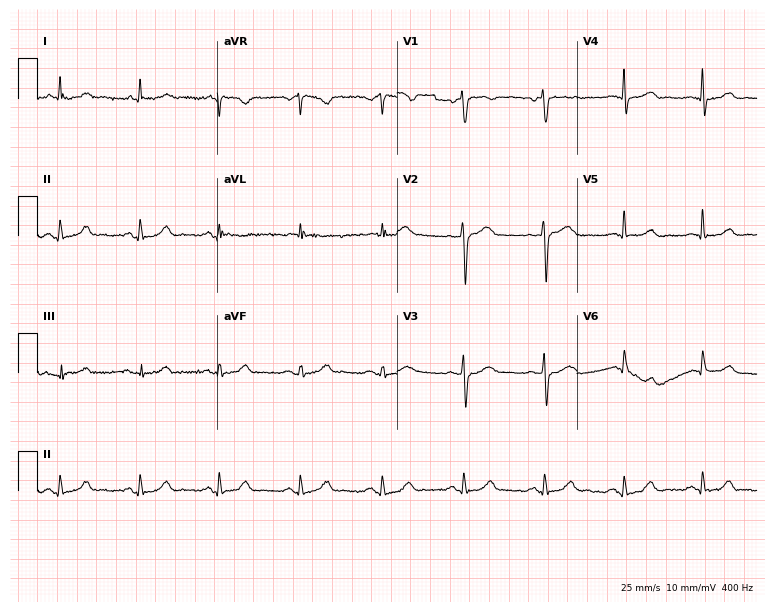
12-lead ECG from a male, 60 years old. Labelled as a normal ECG.